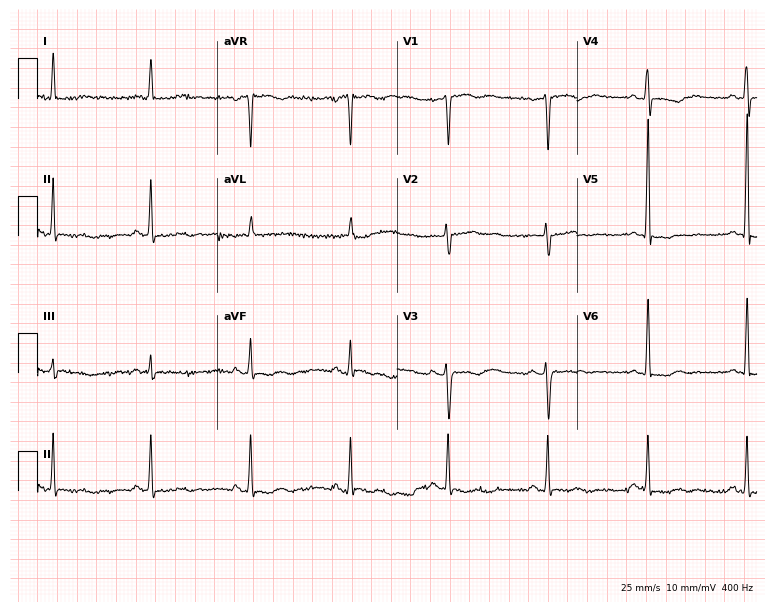
Standard 12-lead ECG recorded from a 65-year-old female patient (7.3-second recording at 400 Hz). None of these six findings is recorded: first-degree AV block, right bundle branch block (RBBB), left bundle branch block (LBBB), sinus bradycardia, atrial fibrillation (AF), sinus tachycardia. Findings outside these six are not listed.